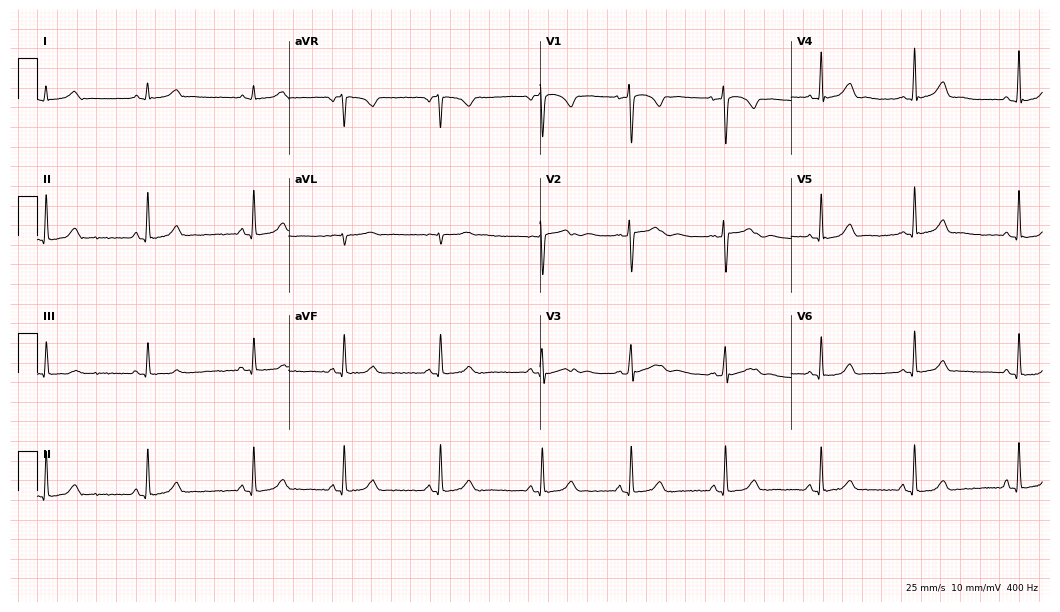
Resting 12-lead electrocardiogram (10.2-second recording at 400 Hz). Patient: a 19-year-old woman. Read as a normal ECG.